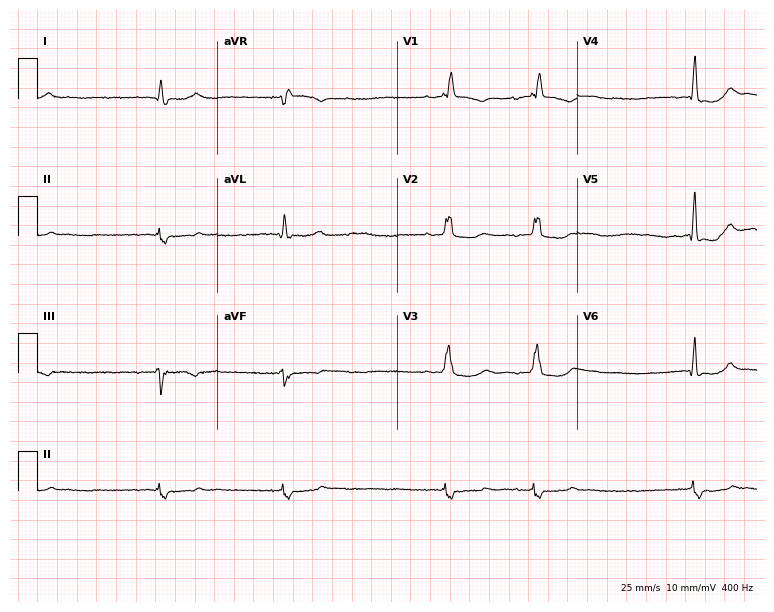
12-lead ECG from a 65-year-old female. Findings include right bundle branch block.